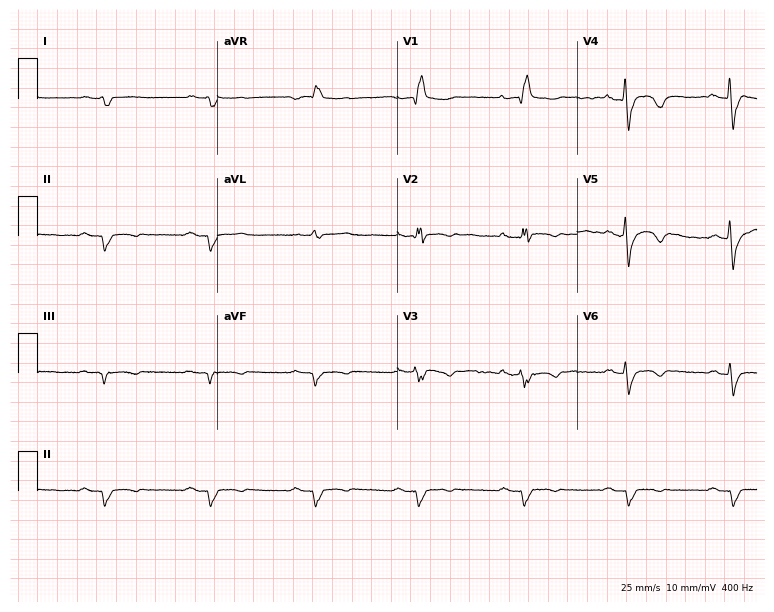
12-lead ECG from a man, 62 years old. Findings include right bundle branch block.